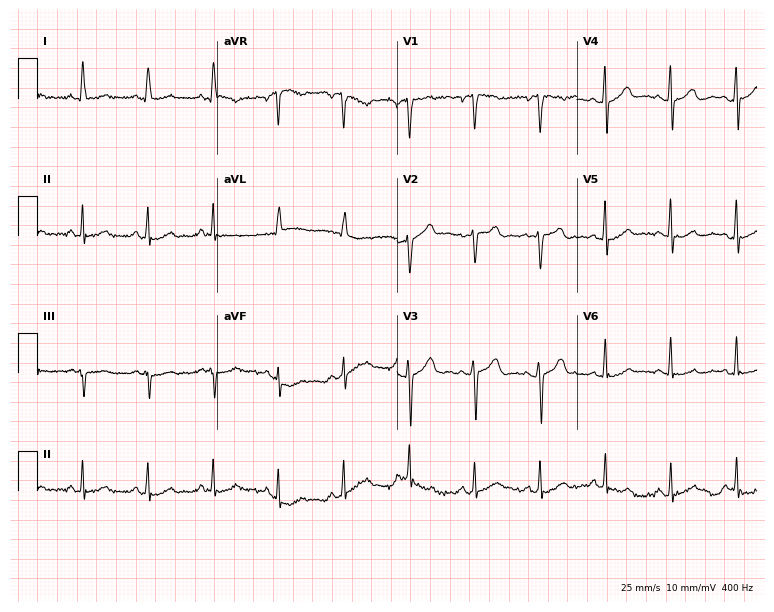
Resting 12-lead electrocardiogram. Patient: a female, 56 years old. None of these six findings is recorded: first-degree AV block, right bundle branch block, left bundle branch block, sinus bradycardia, atrial fibrillation, sinus tachycardia.